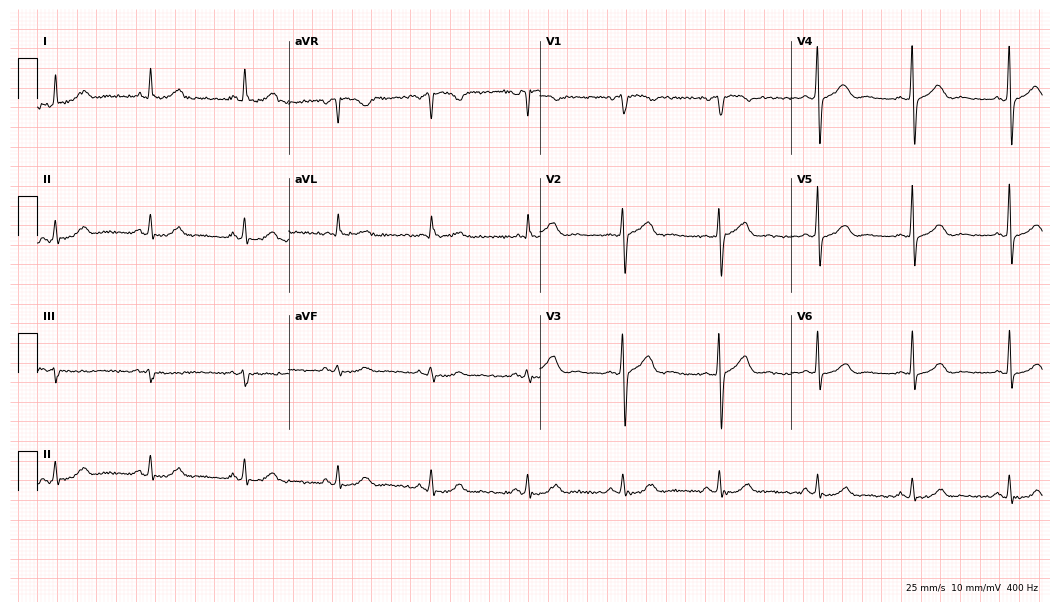
12-lead ECG from a man, 48 years old (10.2-second recording at 400 Hz). Recorded interpretation: within normal limits.